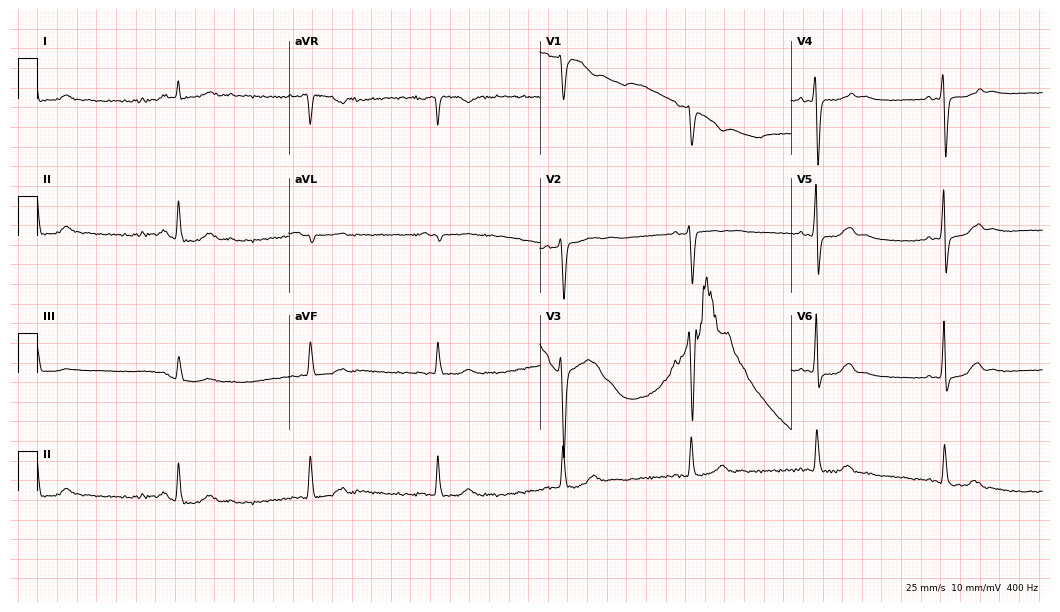
Standard 12-lead ECG recorded from a 78-year-old male patient. The tracing shows sinus bradycardia (a sinus rate of 50 beats per minute or less).